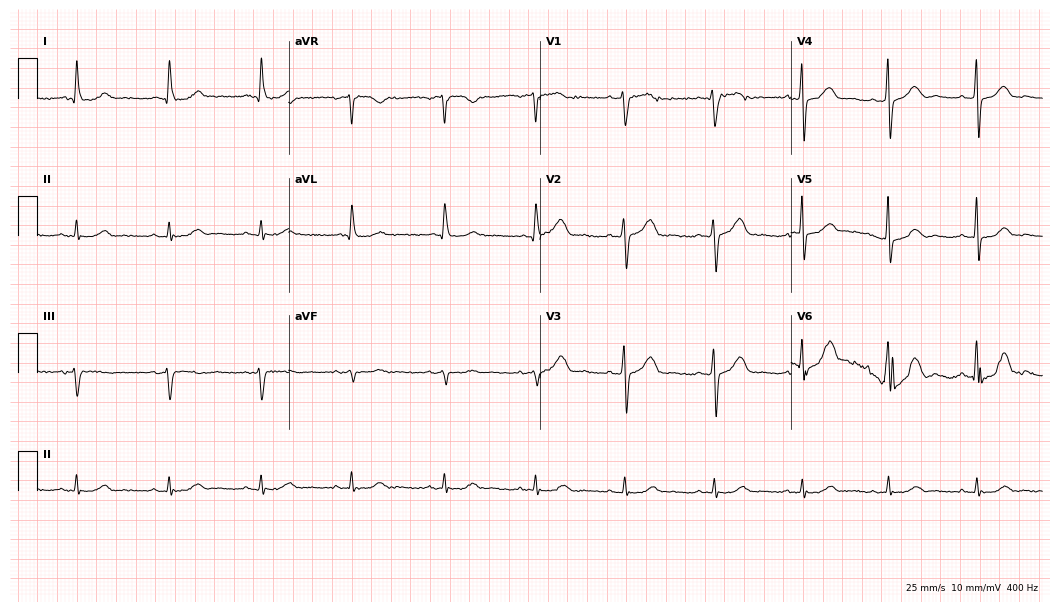
Electrocardiogram (10.2-second recording at 400 Hz), a female patient, 79 years old. Overall reading on record: normal ECG.